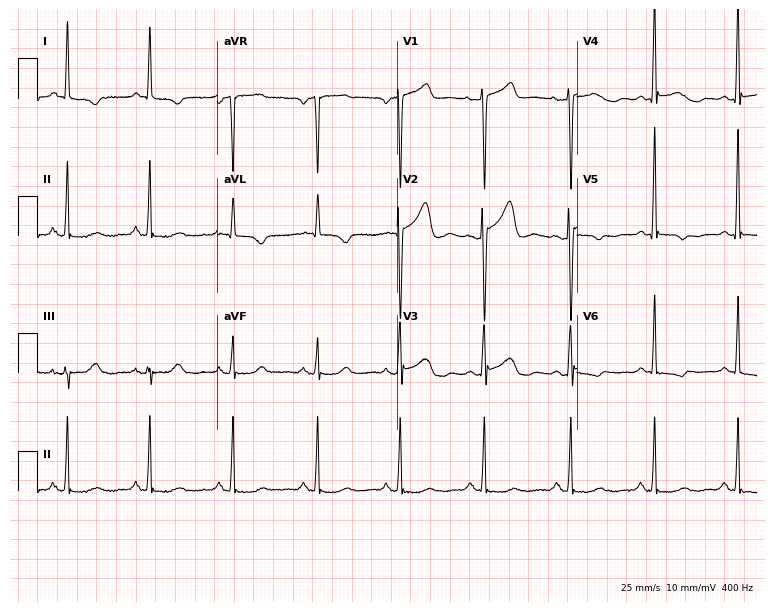
ECG (7.3-second recording at 400 Hz) — a female, 50 years old. Screened for six findings — first-degree AV block, right bundle branch block (RBBB), left bundle branch block (LBBB), sinus bradycardia, atrial fibrillation (AF), sinus tachycardia — none is recorded.